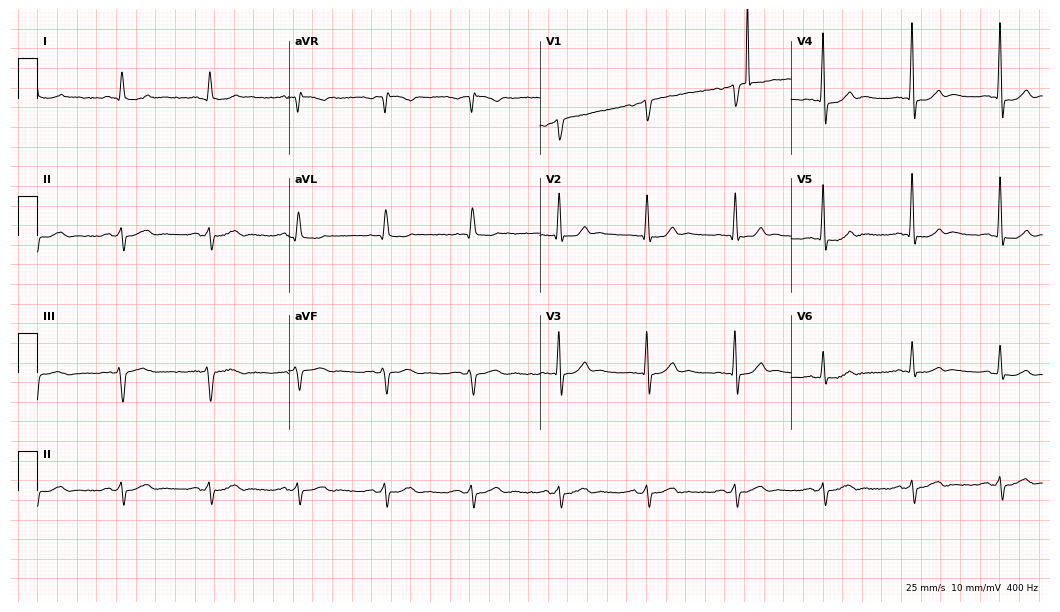
ECG (10.2-second recording at 400 Hz) — a 77-year-old man. Labelled as a normal ECG.